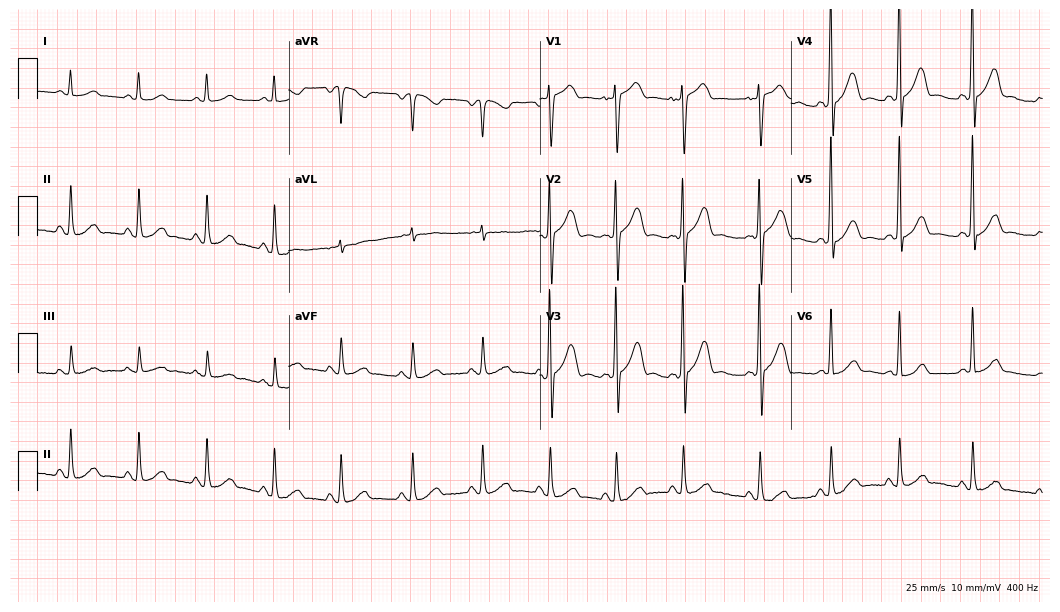
12-lead ECG from a 56-year-old female patient (10.2-second recording at 400 Hz). No first-degree AV block, right bundle branch block, left bundle branch block, sinus bradycardia, atrial fibrillation or sinus tachycardia recorded for this tracing.